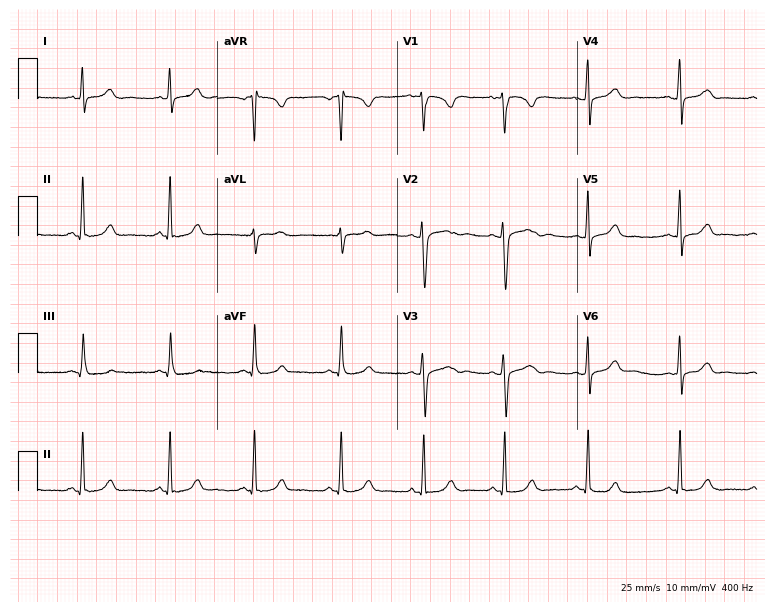
12-lead ECG from a 21-year-old woman. Labelled as a normal ECG.